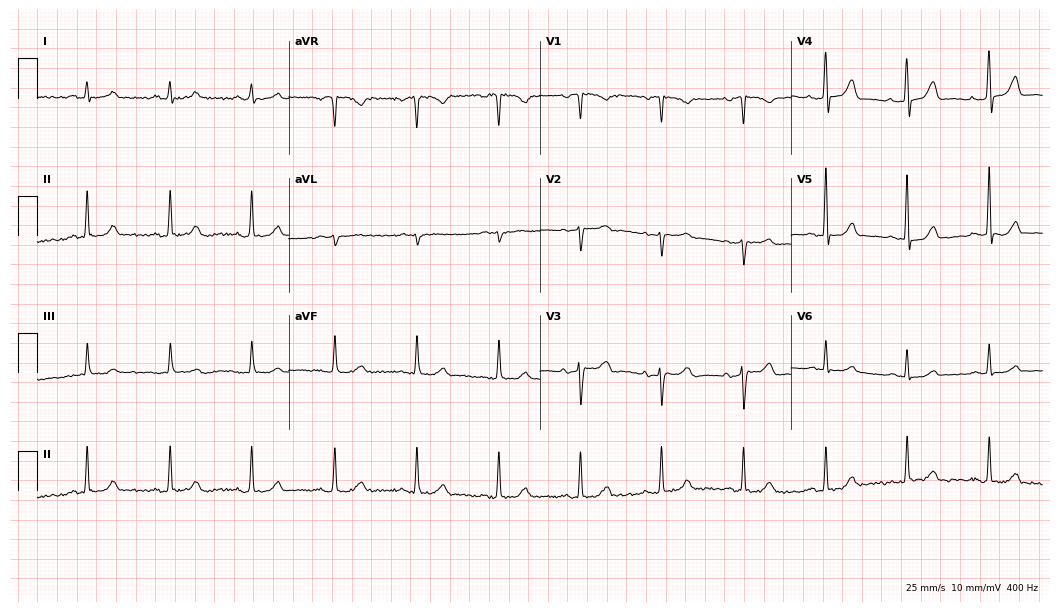
Electrocardiogram, an 81-year-old male. Overall reading on record: normal ECG.